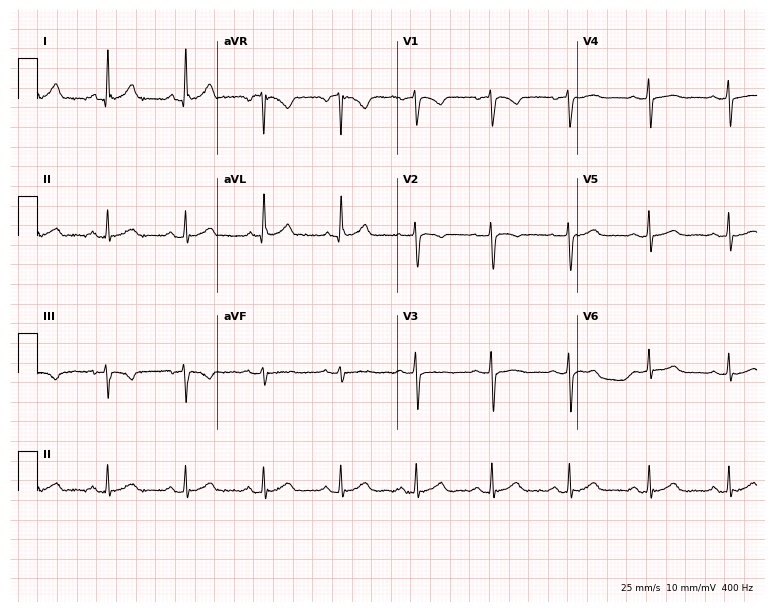
Electrocardiogram (7.3-second recording at 400 Hz), a 53-year-old woman. Overall reading on record: normal ECG.